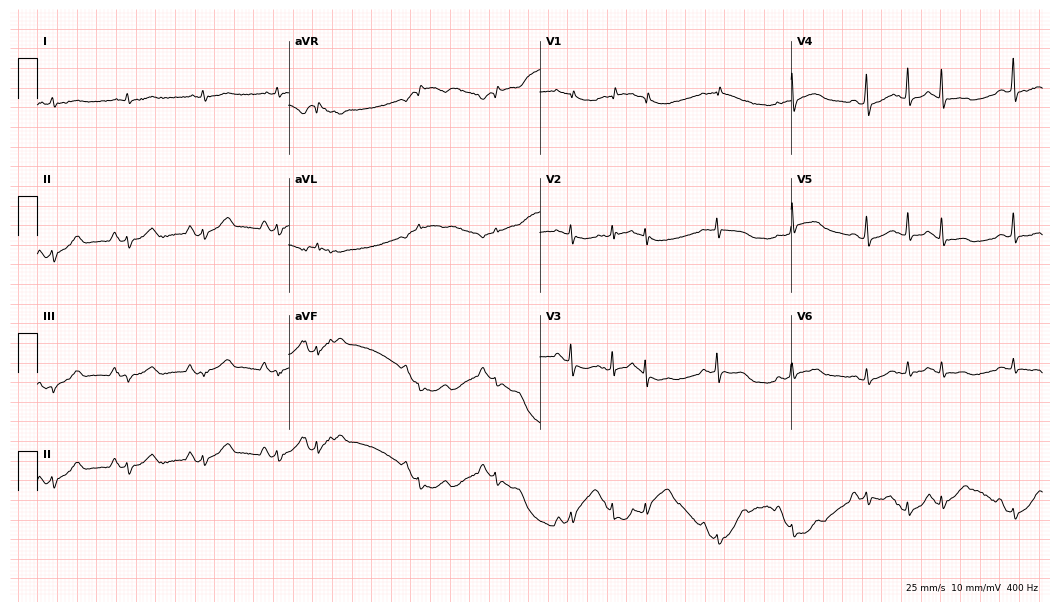
12-lead ECG (10.2-second recording at 400 Hz) from a man, 83 years old. Screened for six findings — first-degree AV block, right bundle branch block, left bundle branch block, sinus bradycardia, atrial fibrillation, sinus tachycardia — none is recorded. Findings outside these six are not listed.